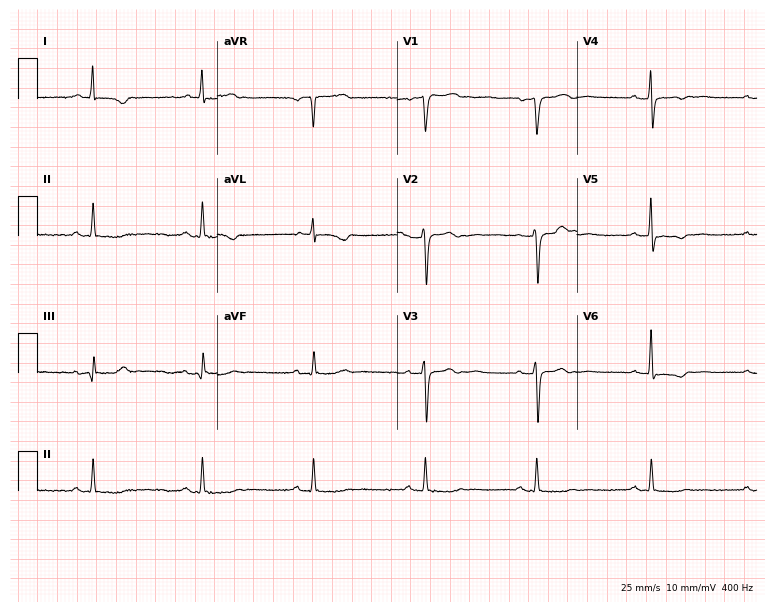
12-lead ECG from a 66-year-old female (7.3-second recording at 400 Hz). No first-degree AV block, right bundle branch block, left bundle branch block, sinus bradycardia, atrial fibrillation or sinus tachycardia recorded for this tracing.